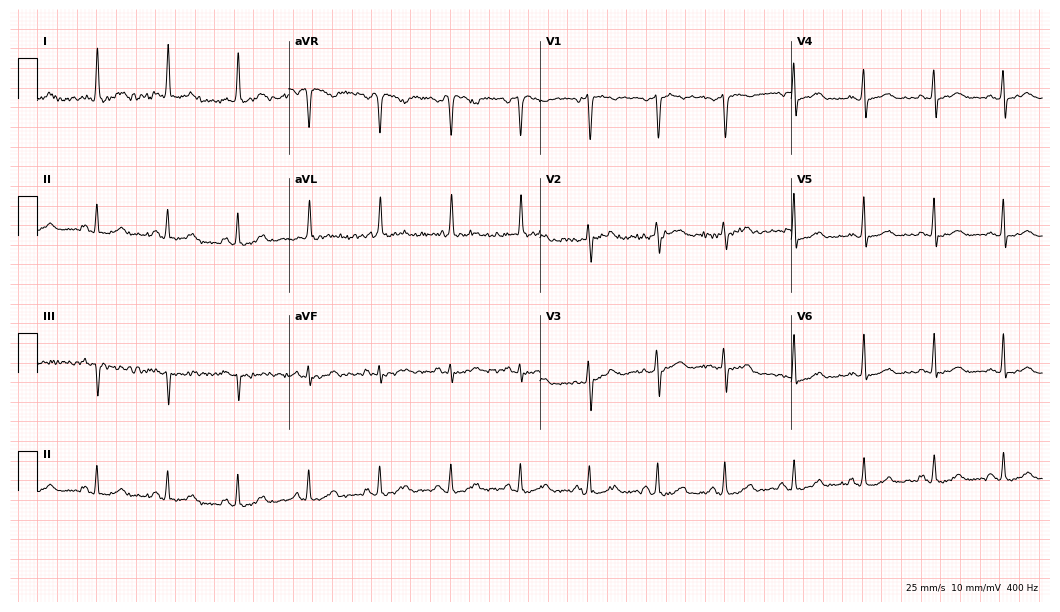
Electrocardiogram (10.2-second recording at 400 Hz), a female, 79 years old. Overall reading on record: normal ECG.